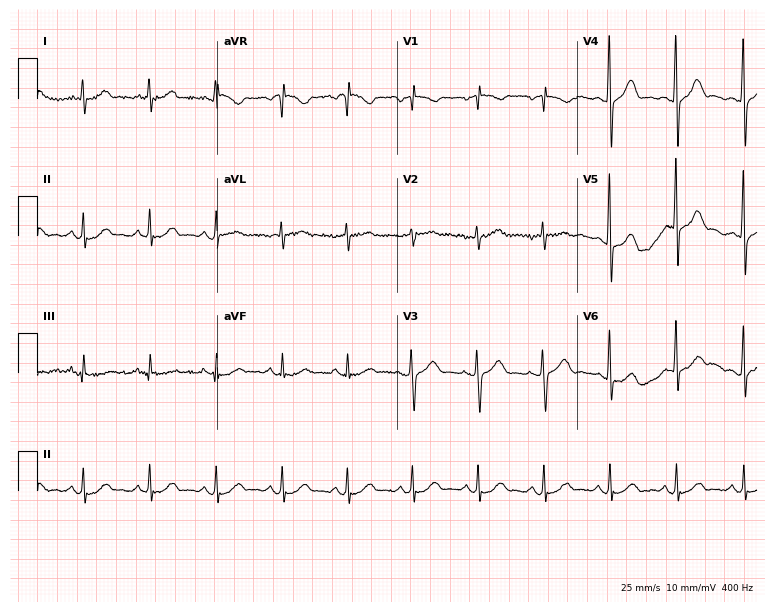
Electrocardiogram, a female patient, 45 years old. Overall reading on record: normal ECG.